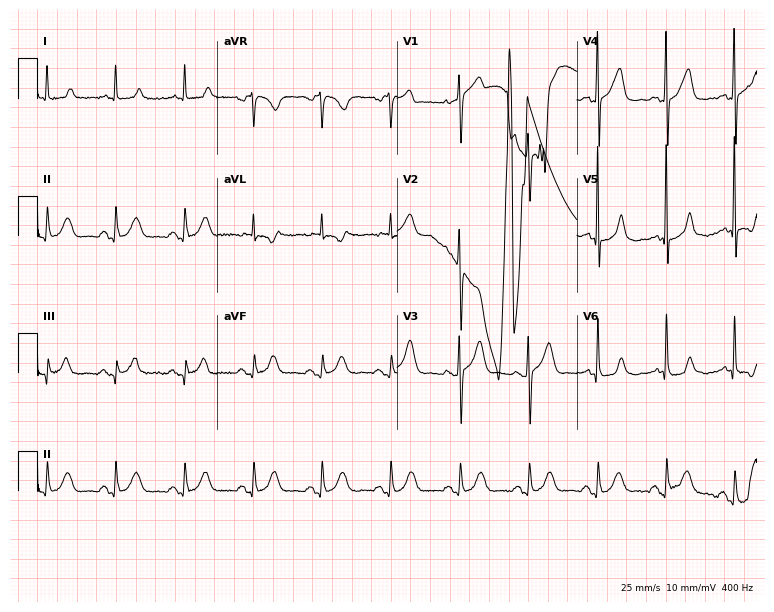
Electrocardiogram, a female, 81 years old. Of the six screened findings (first-degree AV block, right bundle branch block (RBBB), left bundle branch block (LBBB), sinus bradycardia, atrial fibrillation (AF), sinus tachycardia), none is recorded. Other findings, if any, are not listed.